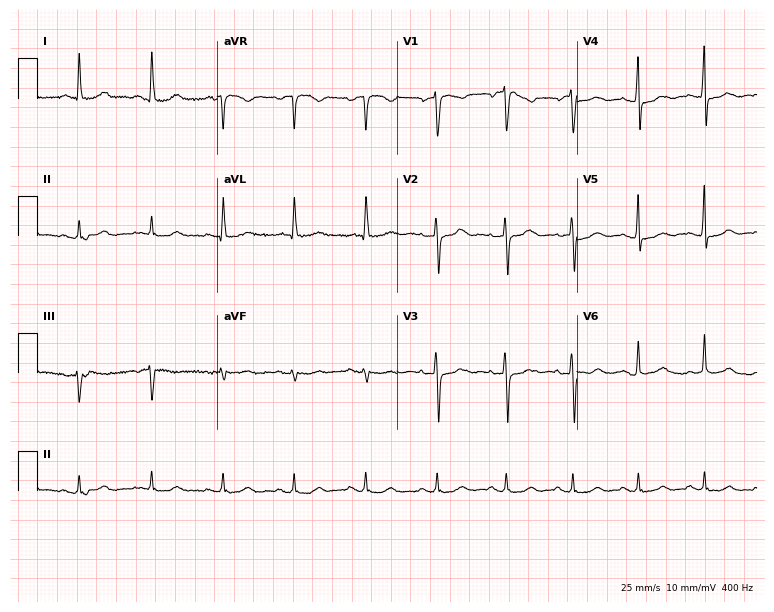
12-lead ECG (7.3-second recording at 400 Hz) from a 75-year-old female patient. Screened for six findings — first-degree AV block, right bundle branch block, left bundle branch block, sinus bradycardia, atrial fibrillation, sinus tachycardia — none is recorded. Other findings, if any, are not listed.